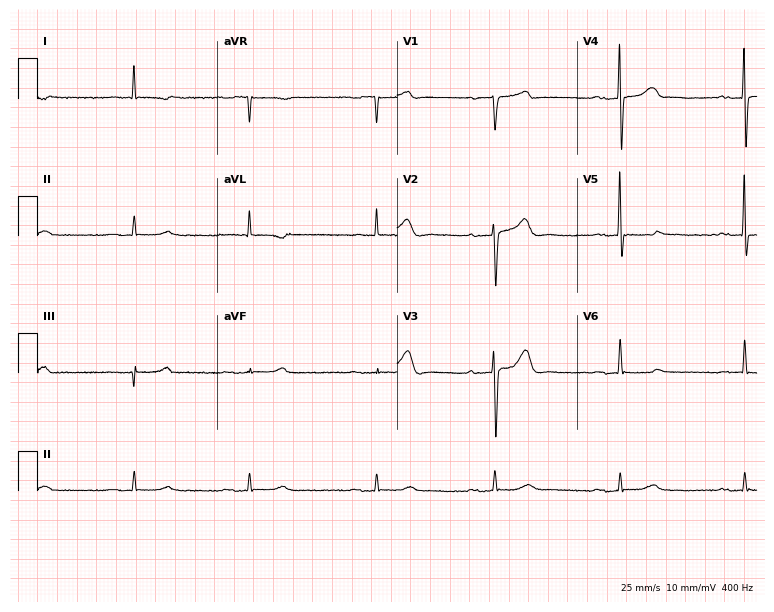
12-lead ECG (7.3-second recording at 400 Hz) from a man, 77 years old. Screened for six findings — first-degree AV block, right bundle branch block, left bundle branch block, sinus bradycardia, atrial fibrillation, sinus tachycardia — none is recorded.